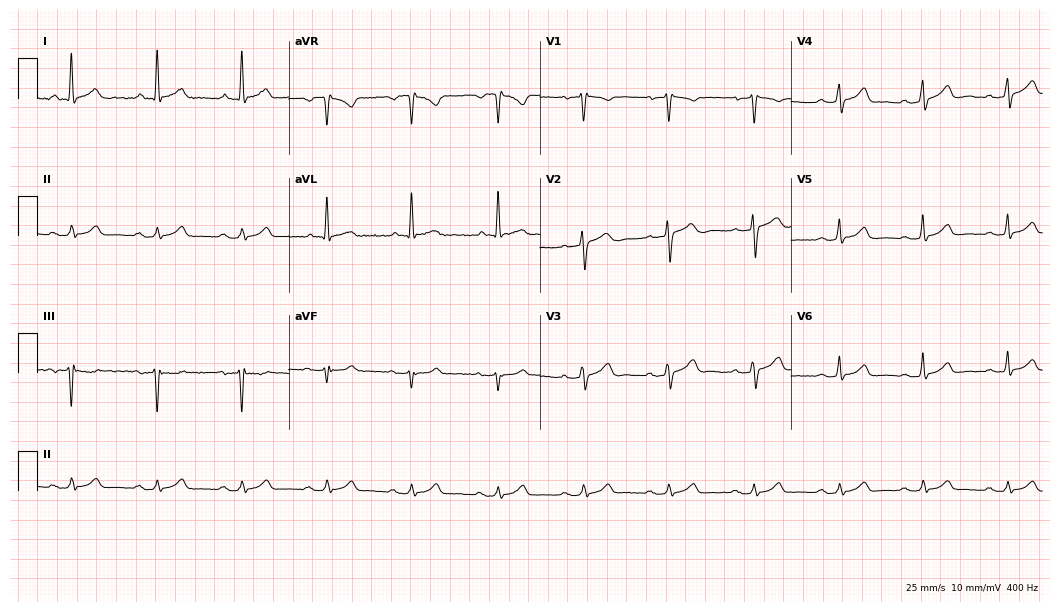
Resting 12-lead electrocardiogram. Patient: a 62-year-old male. None of these six findings is recorded: first-degree AV block, right bundle branch block, left bundle branch block, sinus bradycardia, atrial fibrillation, sinus tachycardia.